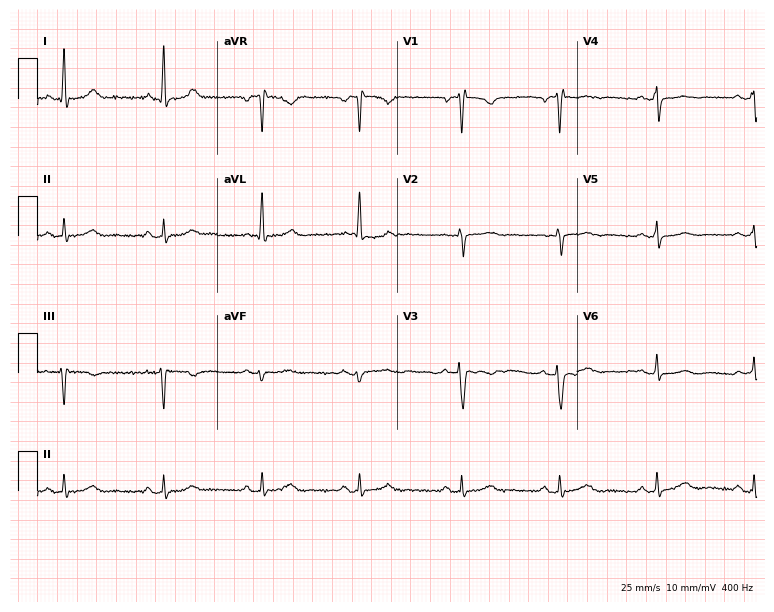
Electrocardiogram, a female patient, 46 years old. Overall reading on record: normal ECG.